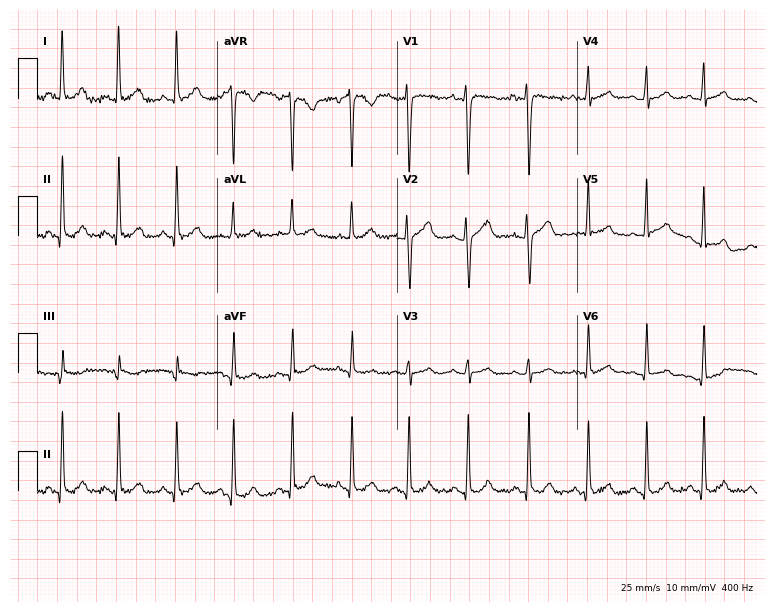
12-lead ECG from an 18-year-old woman (7.3-second recording at 400 Hz). Shows sinus tachycardia (a sinus rate of 100 beats per minute or more).